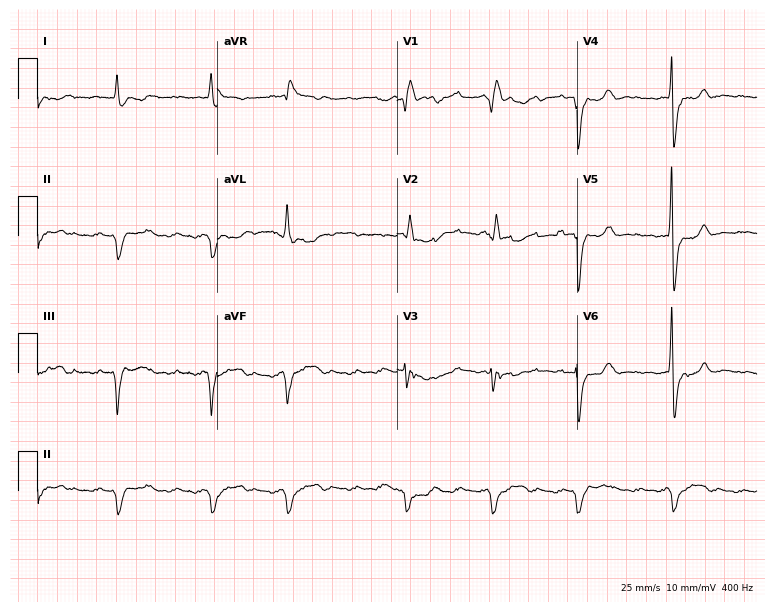
Resting 12-lead electrocardiogram (7.3-second recording at 400 Hz). Patient: an 84-year-old male. The tracing shows right bundle branch block, atrial fibrillation.